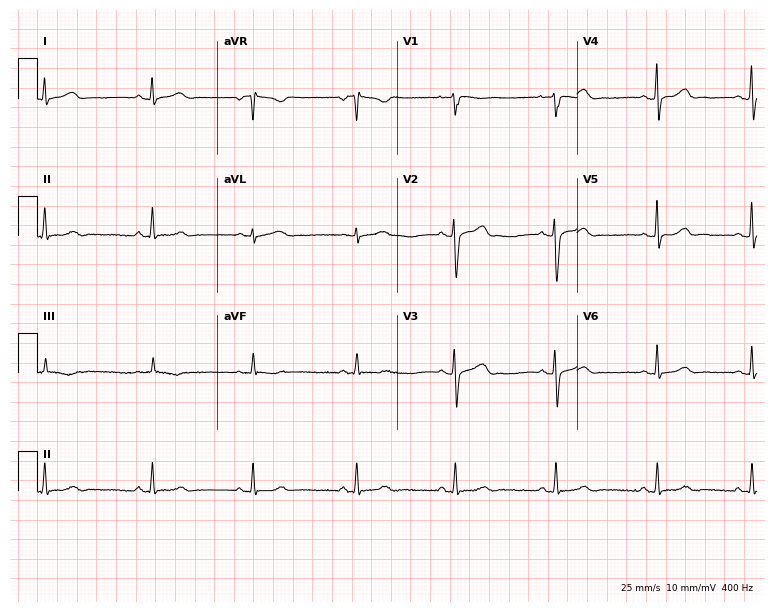
ECG — a woman, 35 years old. Labelled as a normal ECG.